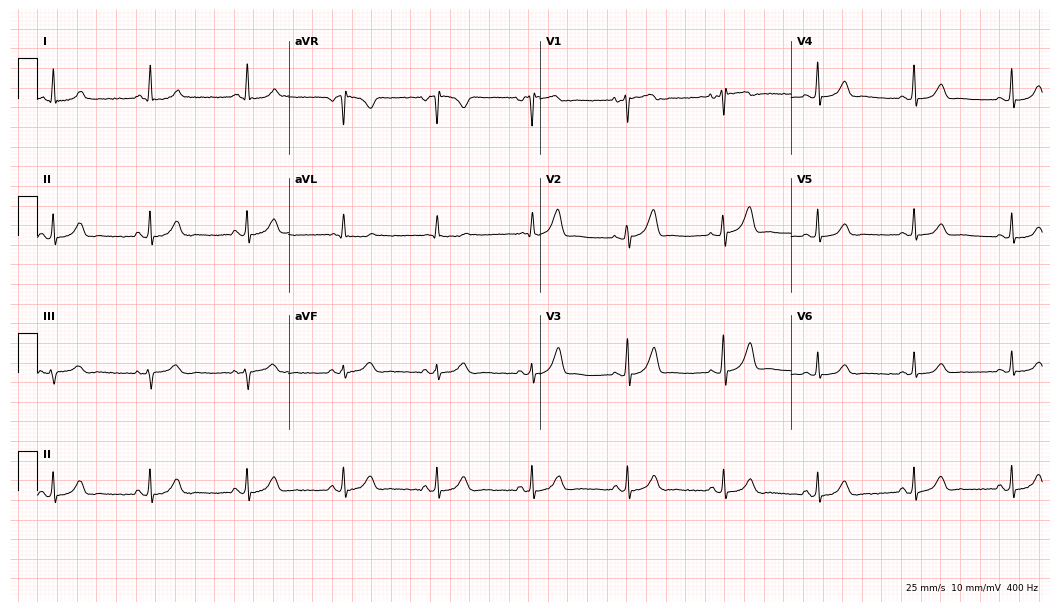
Resting 12-lead electrocardiogram. Patient: a 51-year-old female. Read as a normal ECG.